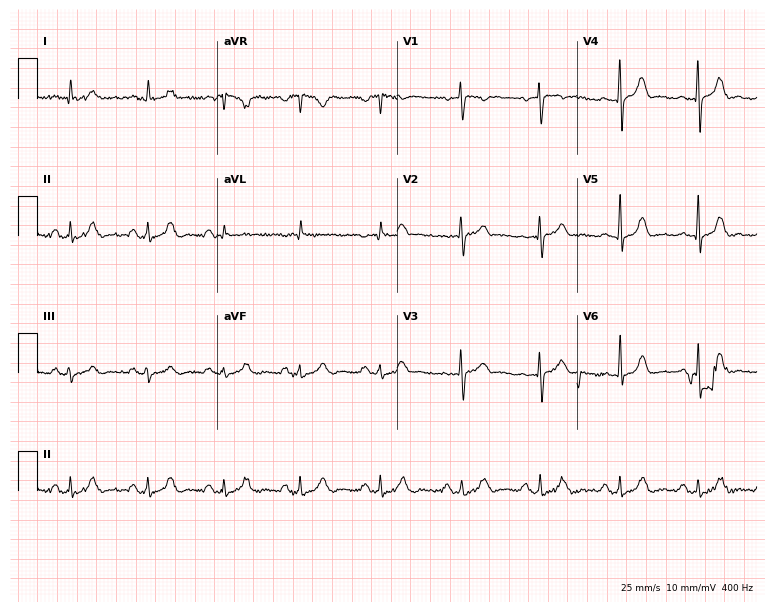
Resting 12-lead electrocardiogram (7.3-second recording at 400 Hz). Patient: a male, 54 years old. Read as a normal ECG.